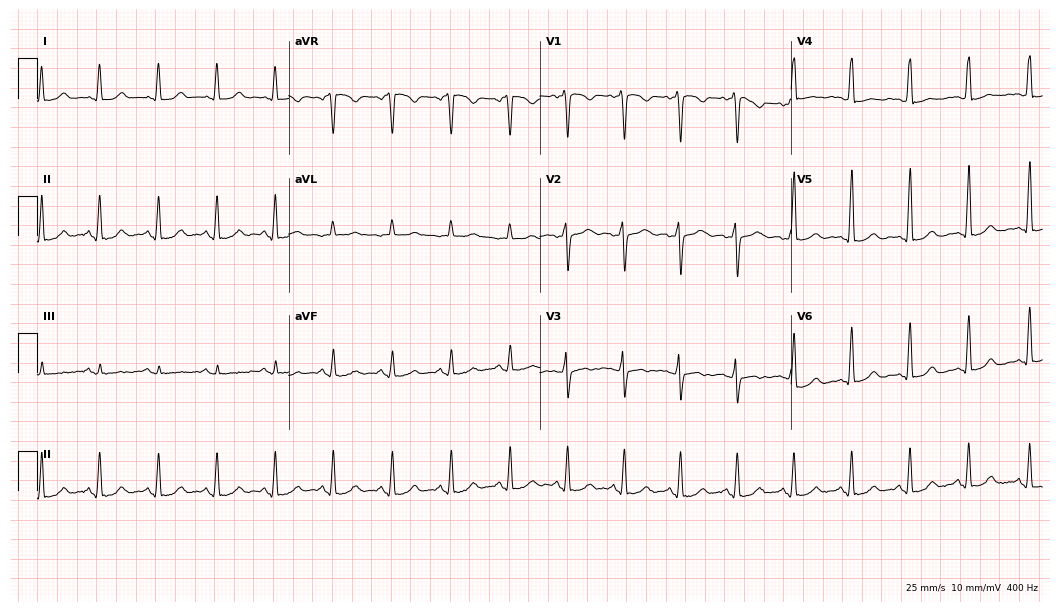
12-lead ECG from a 45-year-old female patient. Recorded interpretation: within normal limits.